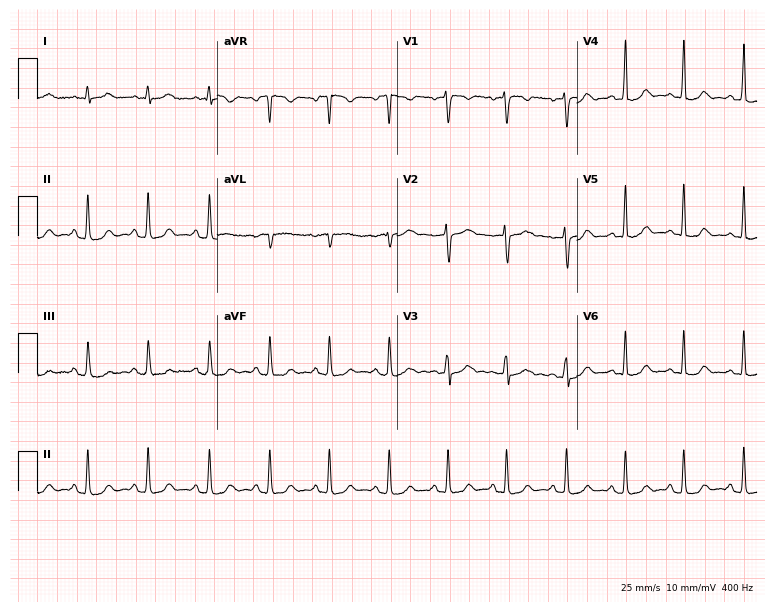
Resting 12-lead electrocardiogram. Patient: a 33-year-old female. Read as a normal ECG.